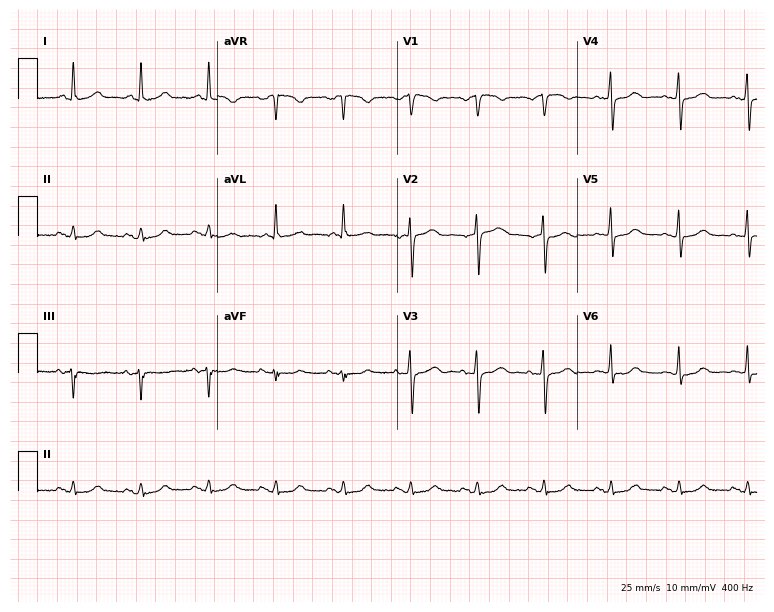
12-lead ECG from a woman, 67 years old. Recorded interpretation: within normal limits.